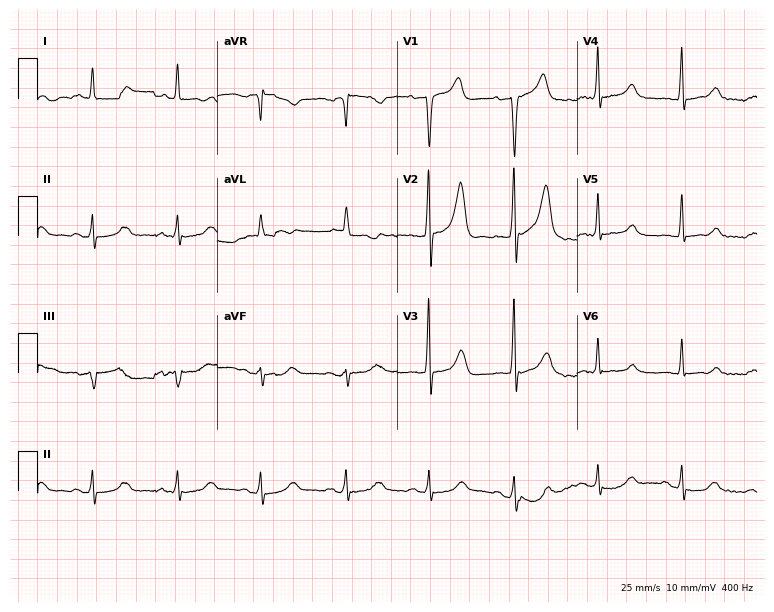
ECG (7.3-second recording at 400 Hz) — a 51-year-old man. Labelled as a normal ECG.